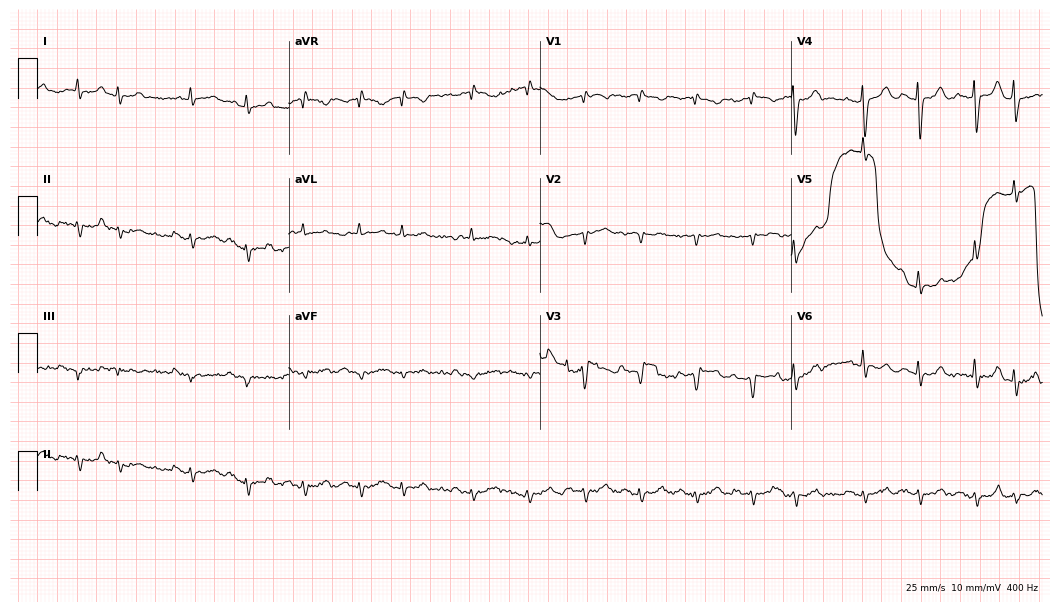
12-lead ECG from a 73-year-old male patient (10.2-second recording at 400 Hz). Shows right bundle branch block, sinus bradycardia (a sinus rate of 50 beats per minute or less).